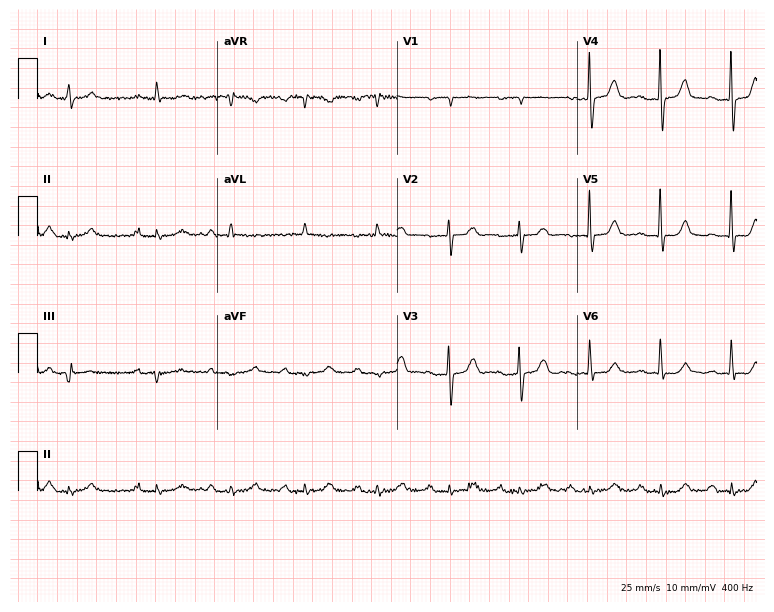
Electrocardiogram (7.3-second recording at 400 Hz), a man, 78 years old. Of the six screened findings (first-degree AV block, right bundle branch block, left bundle branch block, sinus bradycardia, atrial fibrillation, sinus tachycardia), none is recorded.